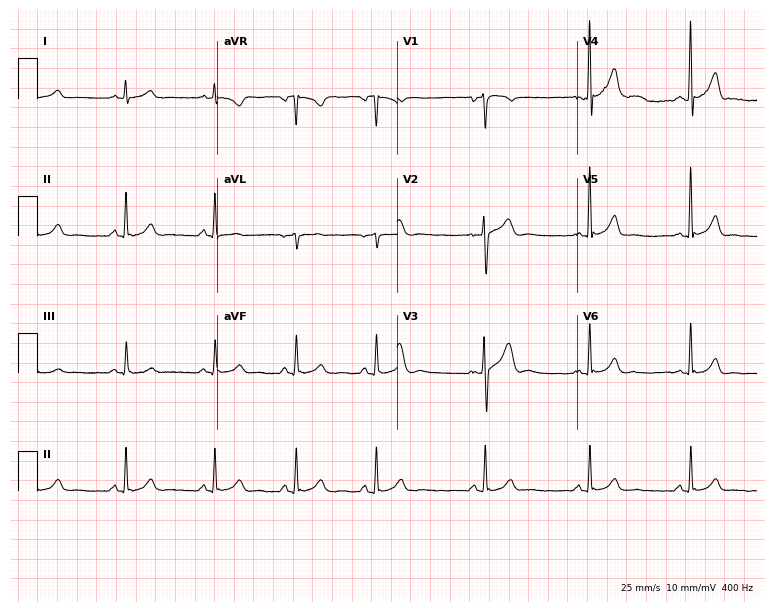
12-lead ECG from a 27-year-old male patient. Recorded interpretation: within normal limits.